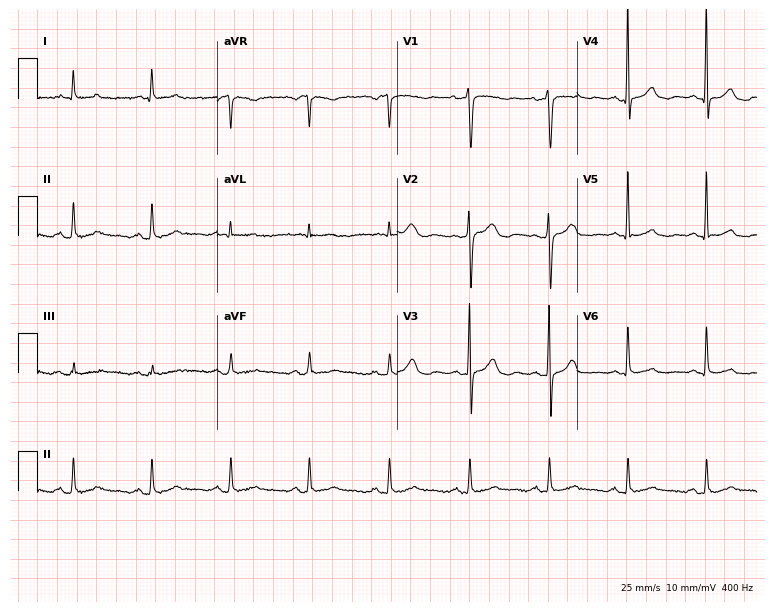
ECG — a male, 70 years old. Screened for six findings — first-degree AV block, right bundle branch block, left bundle branch block, sinus bradycardia, atrial fibrillation, sinus tachycardia — none is recorded. Only these six findings were labelled.